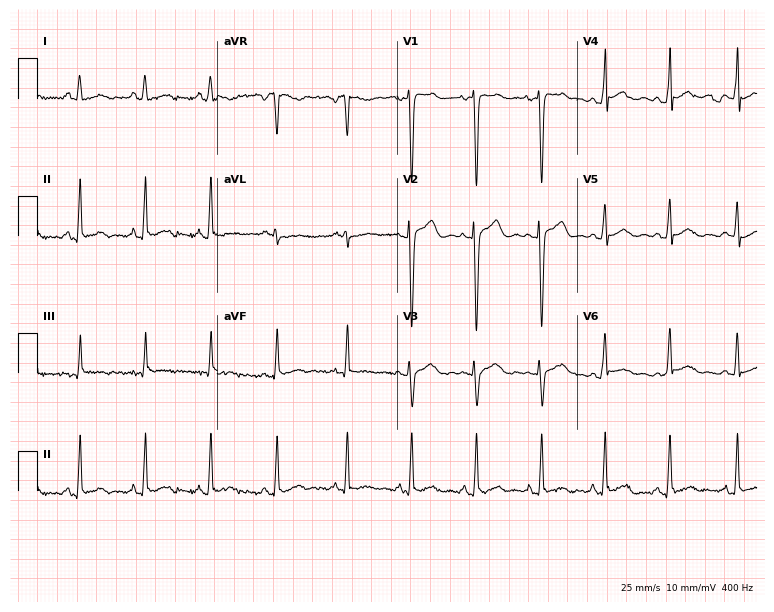
Standard 12-lead ECG recorded from a 25-year-old woman. Read as a normal ECG.